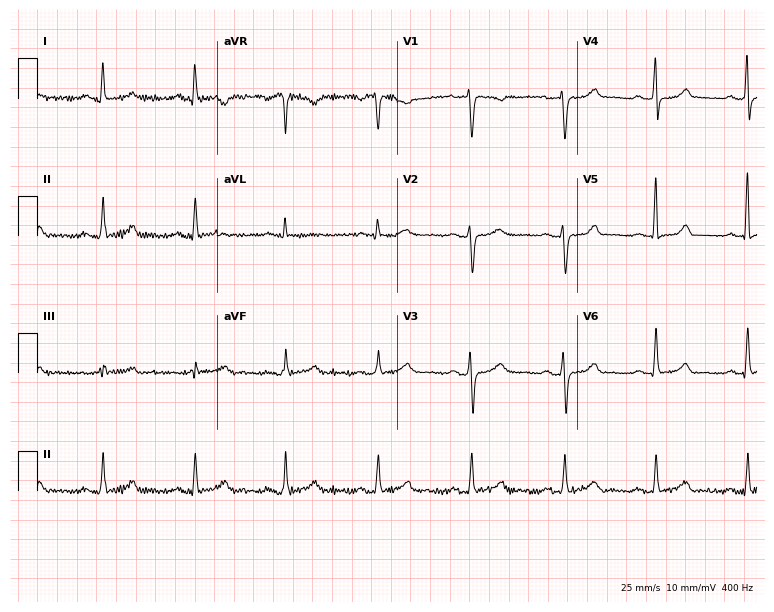
12-lead ECG from a woman, 43 years old (7.3-second recording at 400 Hz). No first-degree AV block, right bundle branch block, left bundle branch block, sinus bradycardia, atrial fibrillation or sinus tachycardia recorded for this tracing. Only these six findings were labelled.